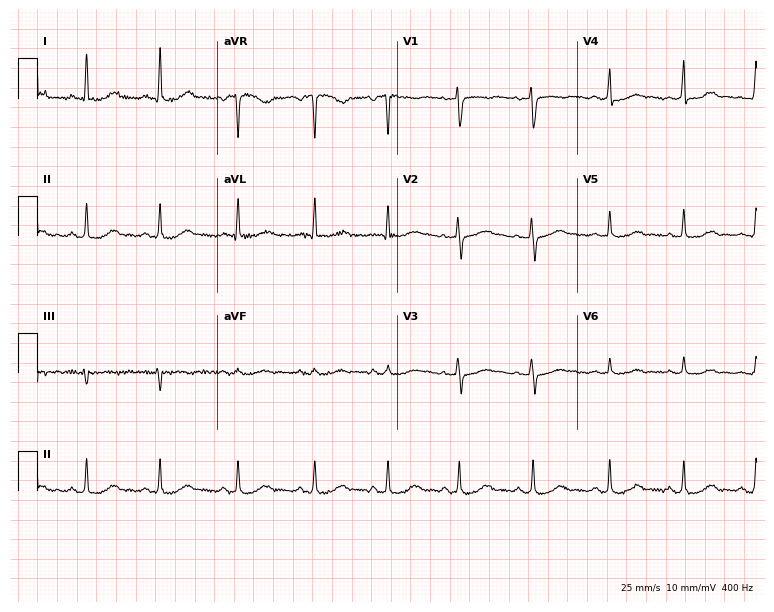
Standard 12-lead ECG recorded from a 48-year-old woman (7.3-second recording at 400 Hz). None of these six findings is recorded: first-degree AV block, right bundle branch block, left bundle branch block, sinus bradycardia, atrial fibrillation, sinus tachycardia.